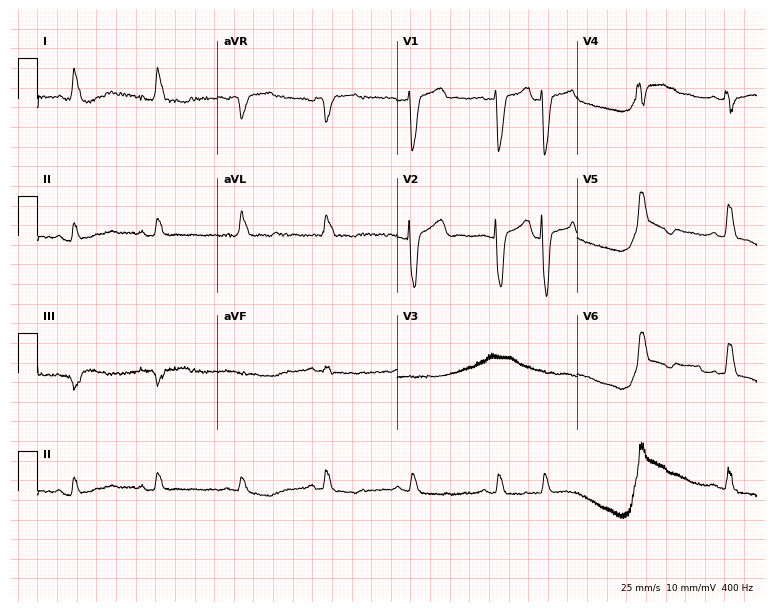
ECG (7.3-second recording at 400 Hz) — a female patient, 76 years old. Screened for six findings — first-degree AV block, right bundle branch block, left bundle branch block, sinus bradycardia, atrial fibrillation, sinus tachycardia — none is recorded.